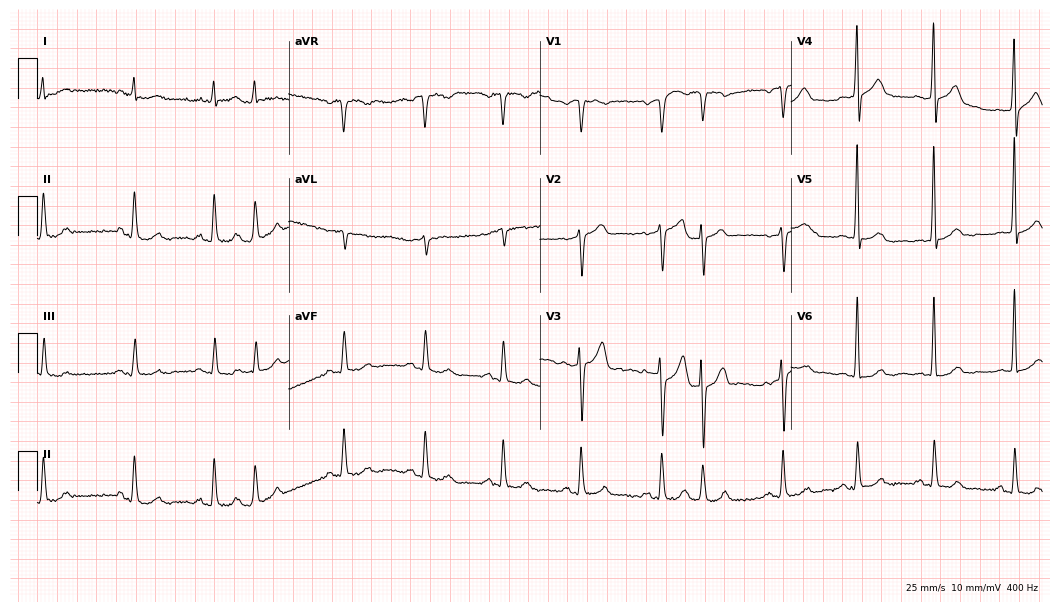
12-lead ECG from a 79-year-old male patient. No first-degree AV block, right bundle branch block, left bundle branch block, sinus bradycardia, atrial fibrillation or sinus tachycardia recorded for this tracing. Findings outside these six are not listed.